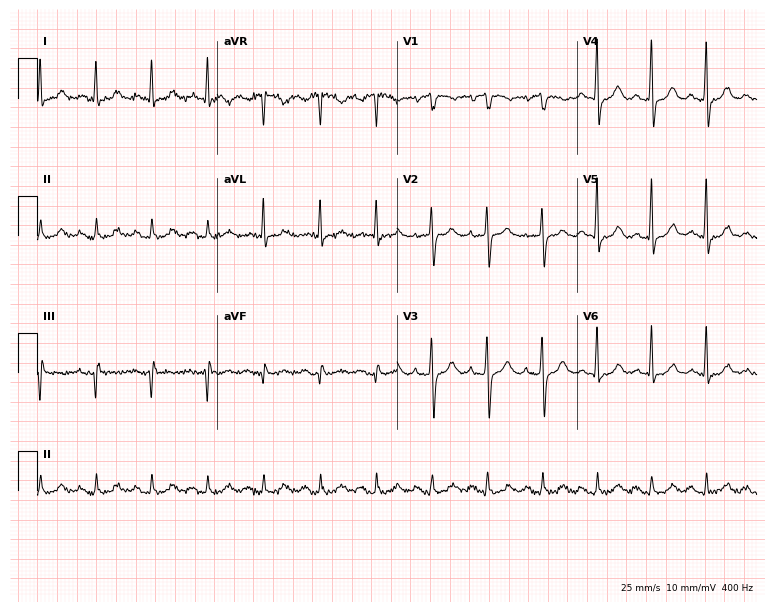
ECG — a man, 83 years old. Findings include sinus tachycardia (a sinus rate of 100 beats per minute or more).